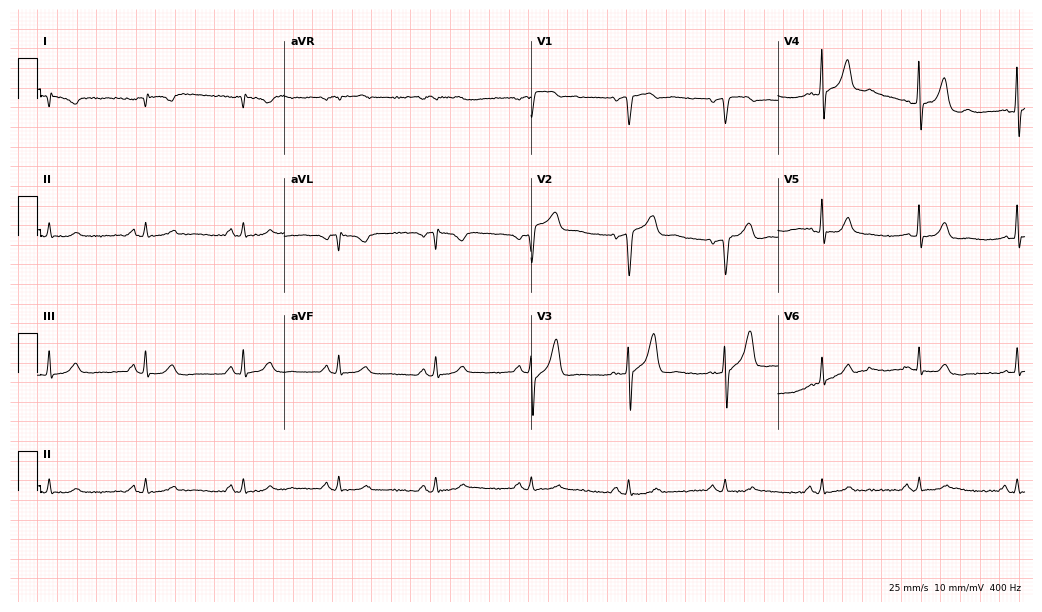
12-lead ECG (10.1-second recording at 400 Hz) from a 59-year-old male. Screened for six findings — first-degree AV block, right bundle branch block, left bundle branch block, sinus bradycardia, atrial fibrillation, sinus tachycardia — none is recorded.